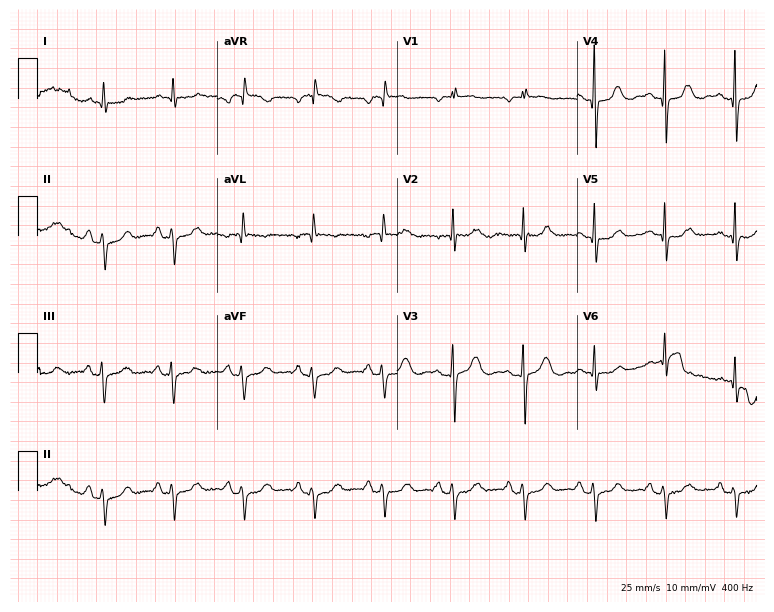
ECG — a female, 73 years old. Screened for six findings — first-degree AV block, right bundle branch block (RBBB), left bundle branch block (LBBB), sinus bradycardia, atrial fibrillation (AF), sinus tachycardia — none is recorded. Findings outside these six are not listed.